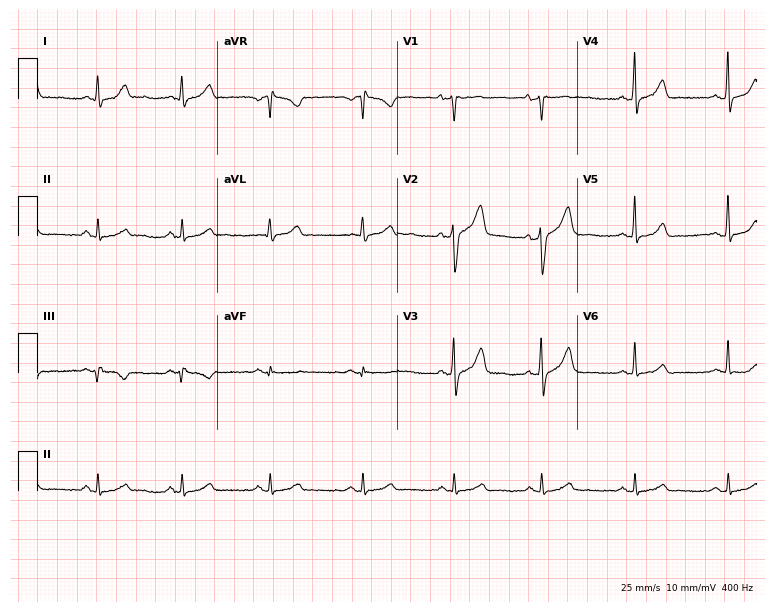
12-lead ECG (7.3-second recording at 400 Hz) from a 50-year-old male. Labelled as a normal ECG.